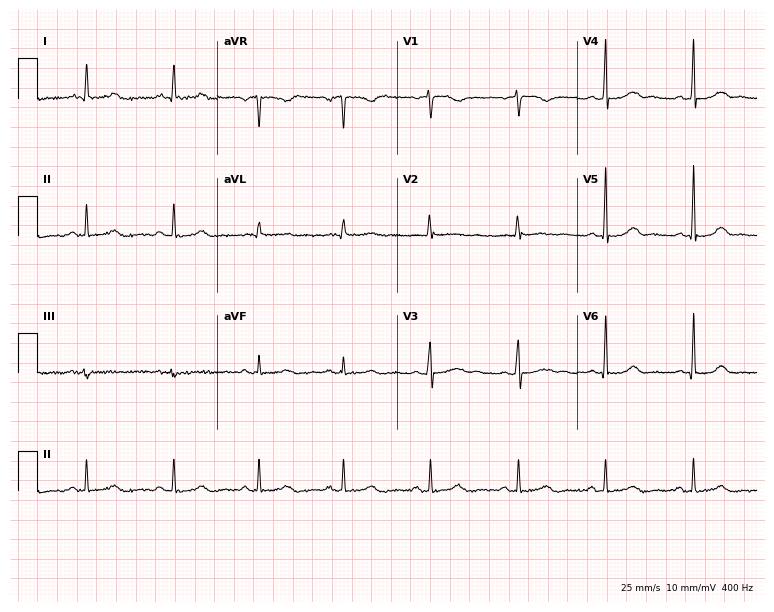
12-lead ECG from a 44-year-old woman. Recorded interpretation: within normal limits.